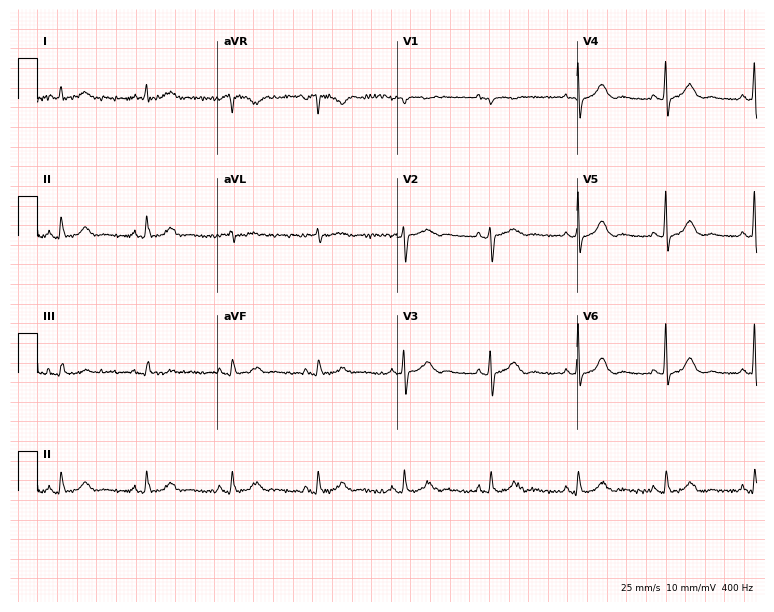
Standard 12-lead ECG recorded from a 68-year-old woman. Read as a normal ECG.